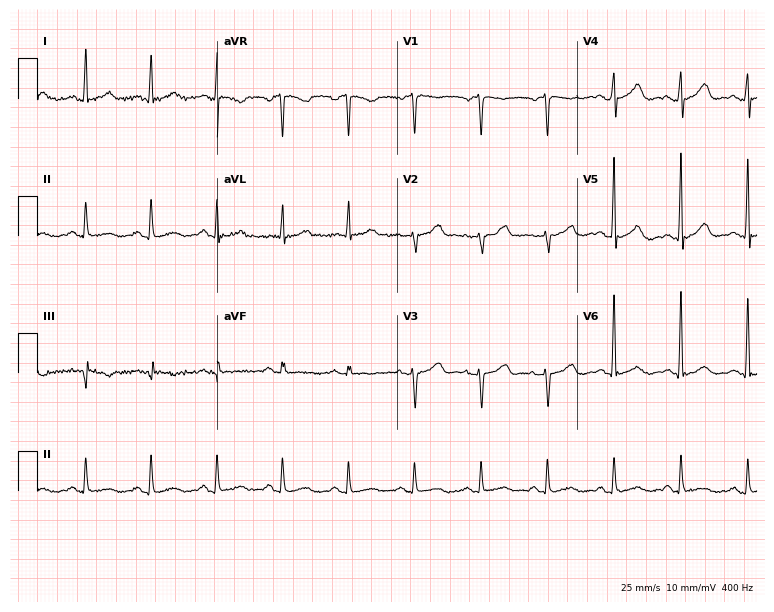
Electrocardiogram (7.3-second recording at 400 Hz), a 48-year-old woman. Overall reading on record: normal ECG.